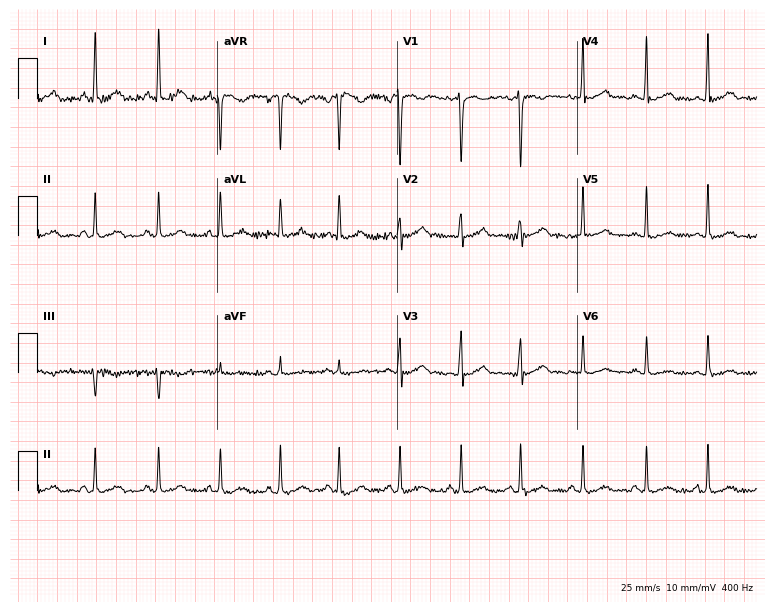
ECG (7.3-second recording at 400 Hz) — a 23-year-old female. Screened for six findings — first-degree AV block, right bundle branch block (RBBB), left bundle branch block (LBBB), sinus bradycardia, atrial fibrillation (AF), sinus tachycardia — none is recorded. Other findings, if any, are not listed.